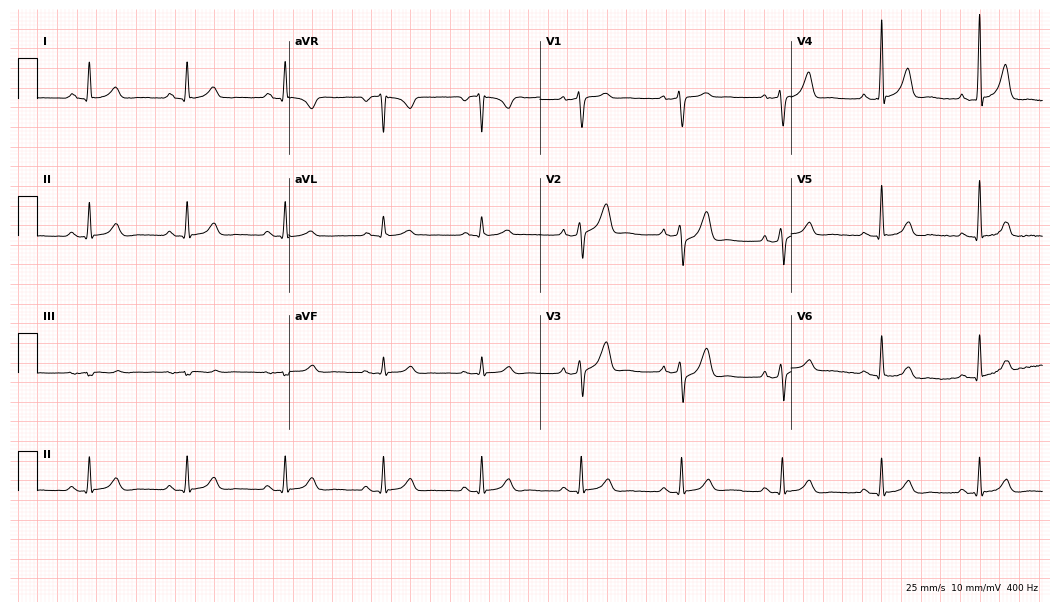
Electrocardiogram, a male patient, 65 years old. Overall reading on record: normal ECG.